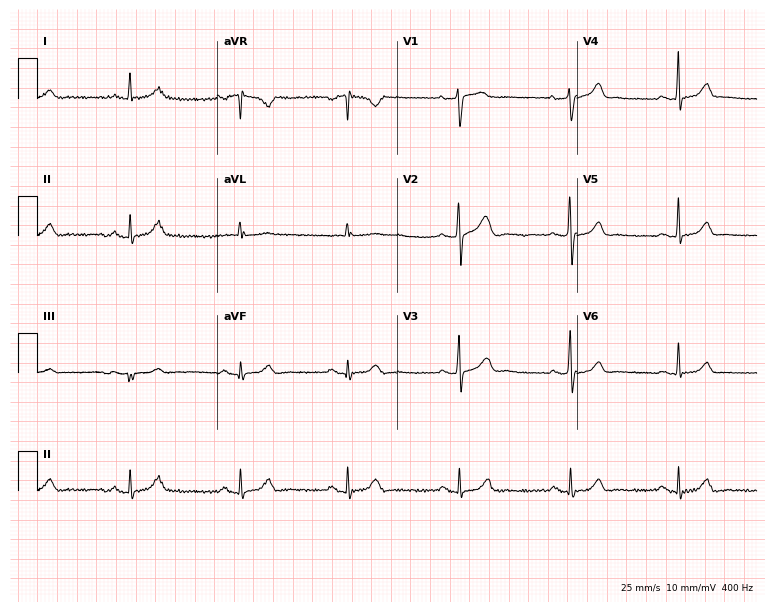
Electrocardiogram, a woman, 52 years old. Of the six screened findings (first-degree AV block, right bundle branch block, left bundle branch block, sinus bradycardia, atrial fibrillation, sinus tachycardia), none is recorded. Other findings, if any, are not listed.